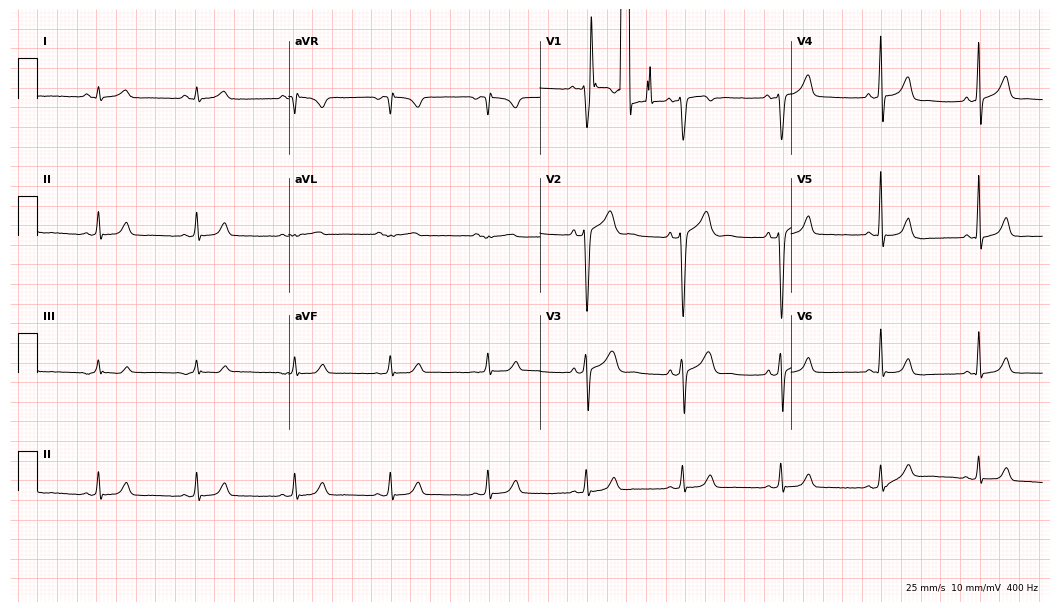
12-lead ECG (10.2-second recording at 400 Hz) from a 41-year-old male patient. Labelled as a normal ECG.